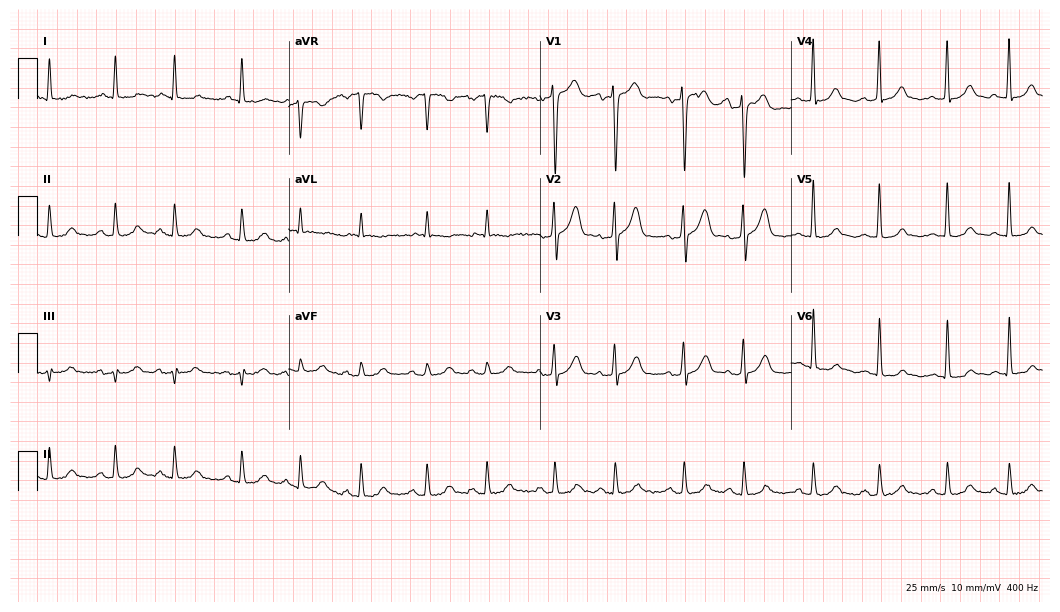
12-lead ECG from a 55-year-old female. Screened for six findings — first-degree AV block, right bundle branch block, left bundle branch block, sinus bradycardia, atrial fibrillation, sinus tachycardia — none is recorded. Only these six findings were labelled.